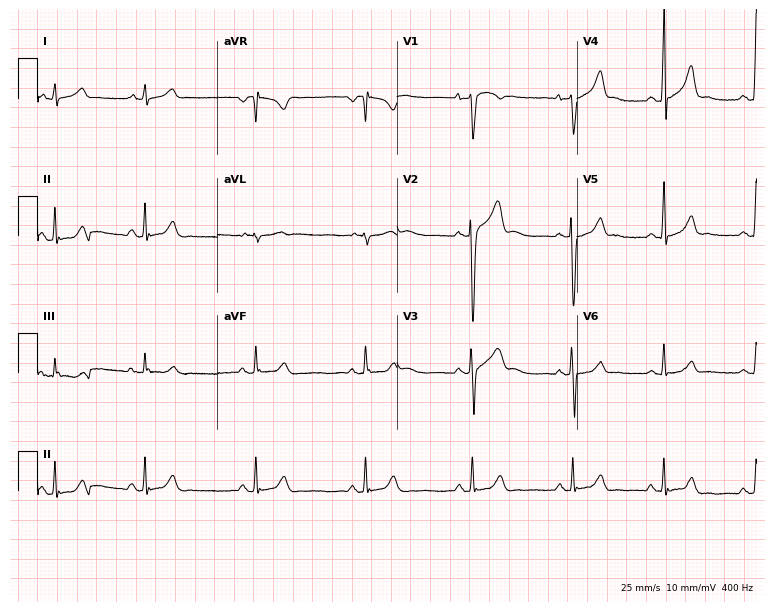
ECG — a 24-year-old male. Labelled as a normal ECG.